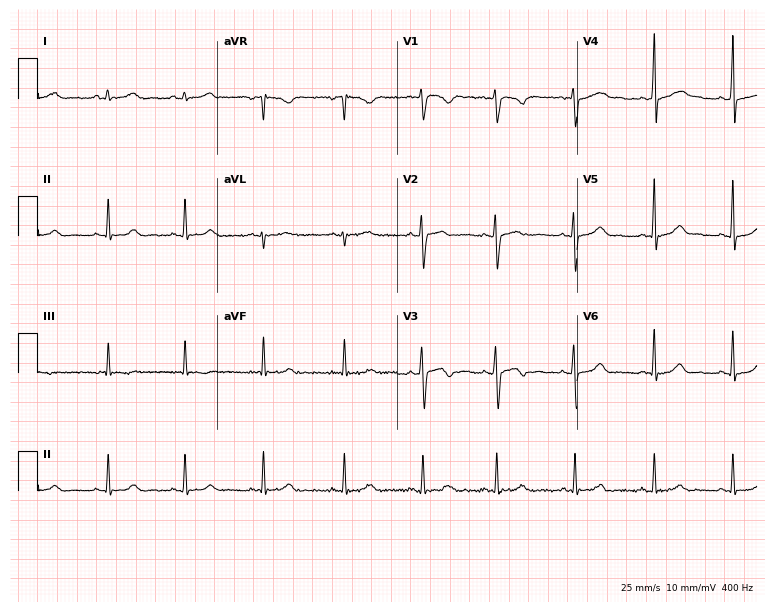
Electrocardiogram (7.3-second recording at 400 Hz), a woman, 28 years old. Overall reading on record: normal ECG.